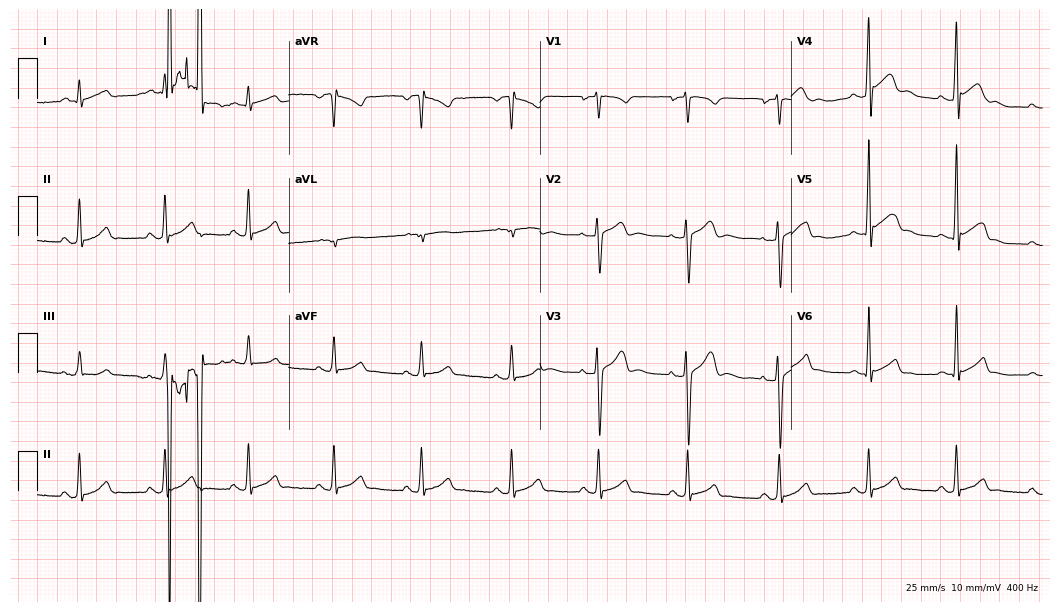
Electrocardiogram (10.2-second recording at 400 Hz), a man, 34 years old. Overall reading on record: normal ECG.